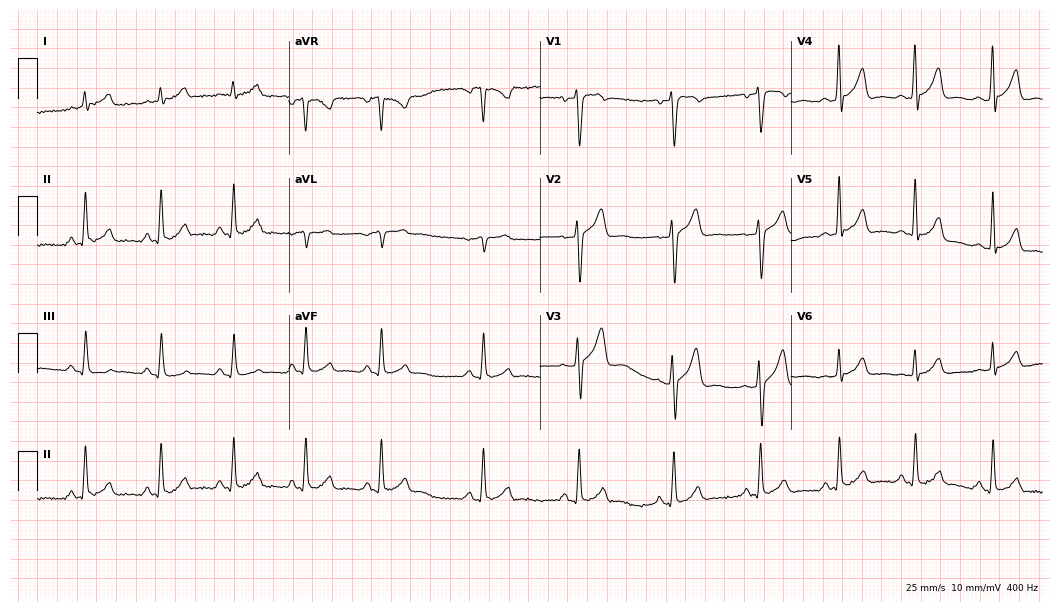
Electrocardiogram, a female patient, 20 years old. Overall reading on record: normal ECG.